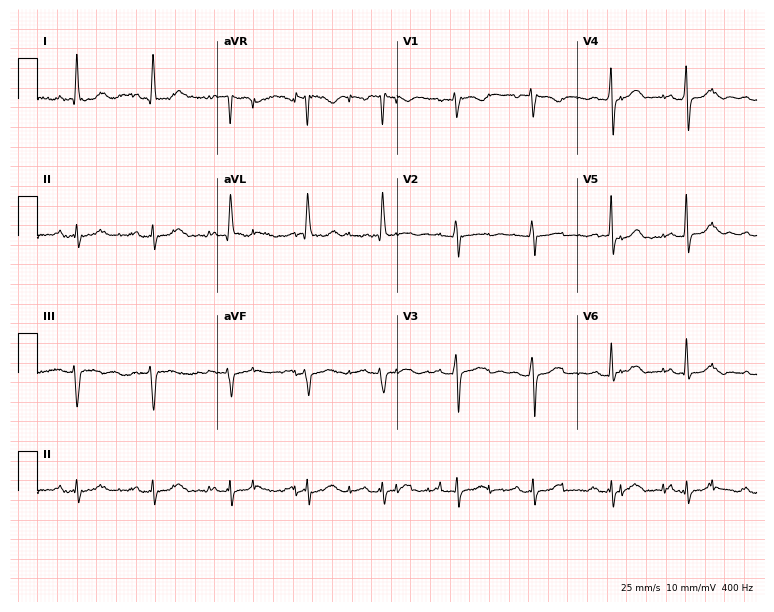
Standard 12-lead ECG recorded from a female patient, 75 years old. None of these six findings is recorded: first-degree AV block, right bundle branch block (RBBB), left bundle branch block (LBBB), sinus bradycardia, atrial fibrillation (AF), sinus tachycardia. Other findings, if any, are not listed.